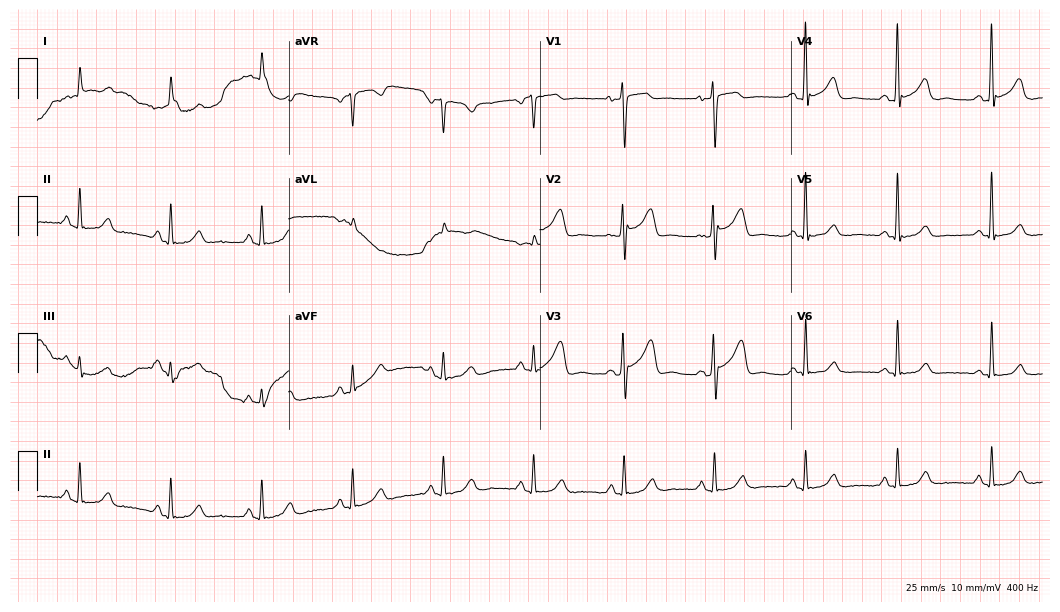
Electrocardiogram (10.2-second recording at 400 Hz), a woman, 62 years old. Overall reading on record: normal ECG.